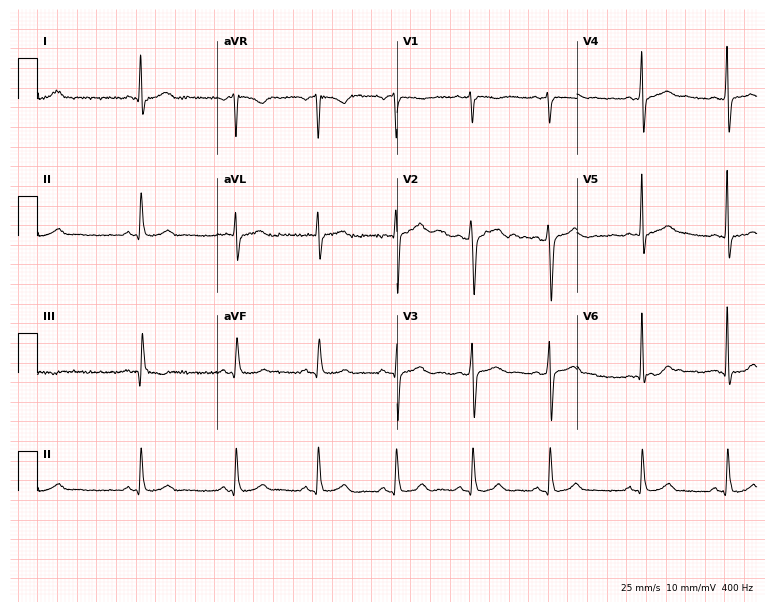
12-lead ECG from a 28-year-old man. Screened for six findings — first-degree AV block, right bundle branch block, left bundle branch block, sinus bradycardia, atrial fibrillation, sinus tachycardia — none is recorded. Only these six findings were labelled.